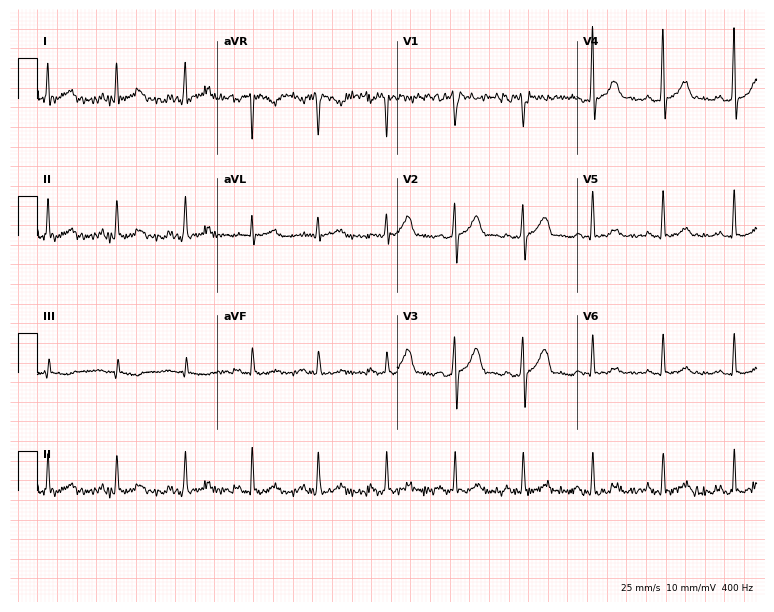
12-lead ECG from a male patient, 57 years old. Screened for six findings — first-degree AV block, right bundle branch block (RBBB), left bundle branch block (LBBB), sinus bradycardia, atrial fibrillation (AF), sinus tachycardia — none is recorded. Other findings, if any, are not listed.